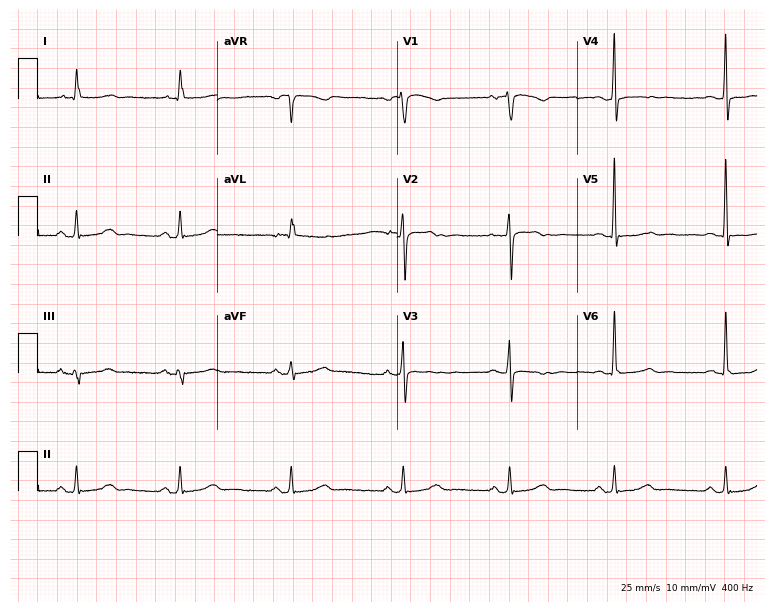
Electrocardiogram, a 54-year-old female patient. Of the six screened findings (first-degree AV block, right bundle branch block, left bundle branch block, sinus bradycardia, atrial fibrillation, sinus tachycardia), none is recorded. Findings outside these six are not listed.